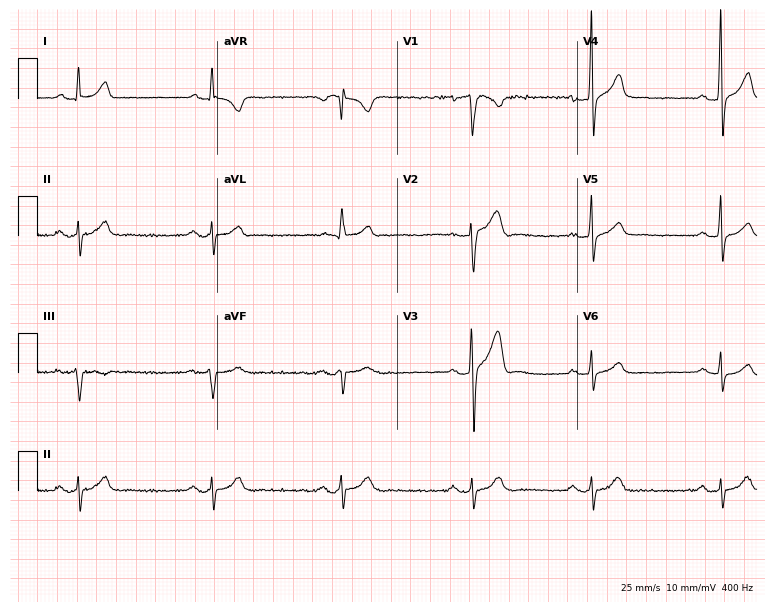
Electrocardiogram, a male patient, 33 years old. Interpretation includes sinus bradycardia (a sinus rate of 50 beats per minute or less).